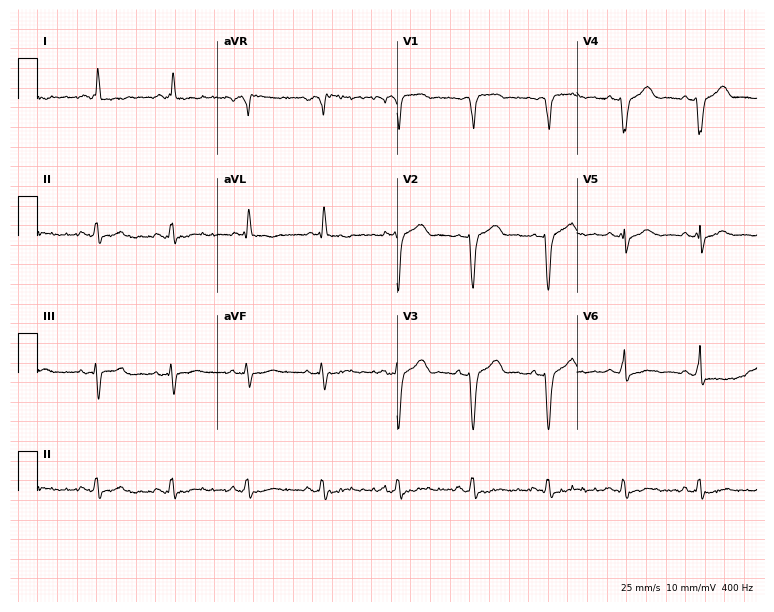
Resting 12-lead electrocardiogram (7.3-second recording at 400 Hz). Patient: a 75-year-old male. The tracing shows left bundle branch block.